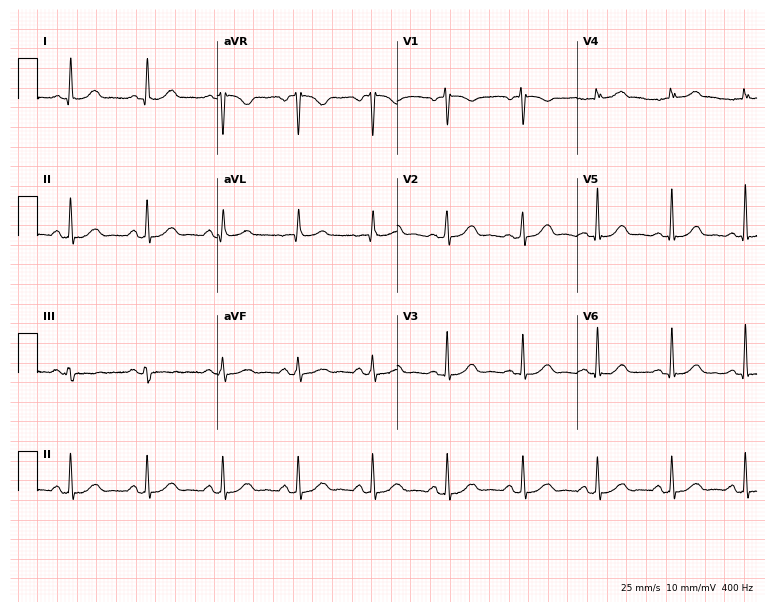
Standard 12-lead ECG recorded from a woman, 65 years old. Read as a normal ECG.